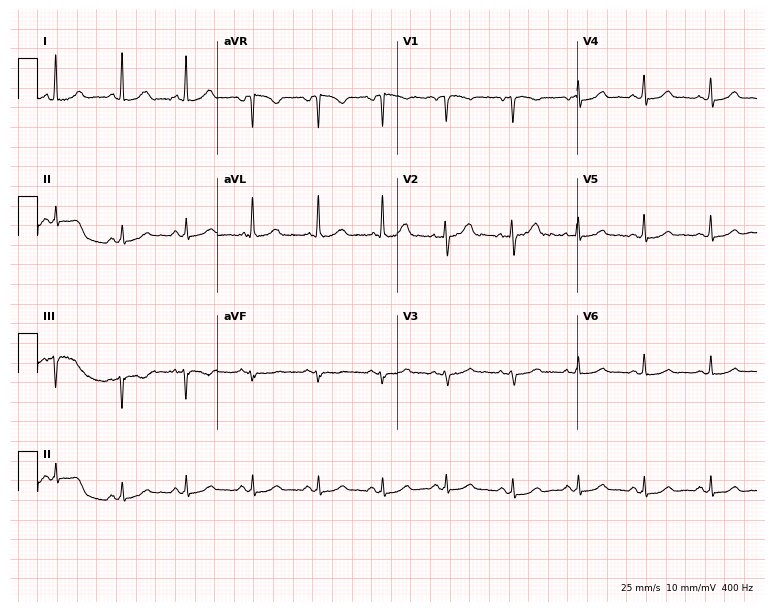
Resting 12-lead electrocardiogram (7.3-second recording at 400 Hz). Patient: a woman, 63 years old. Read as a normal ECG.